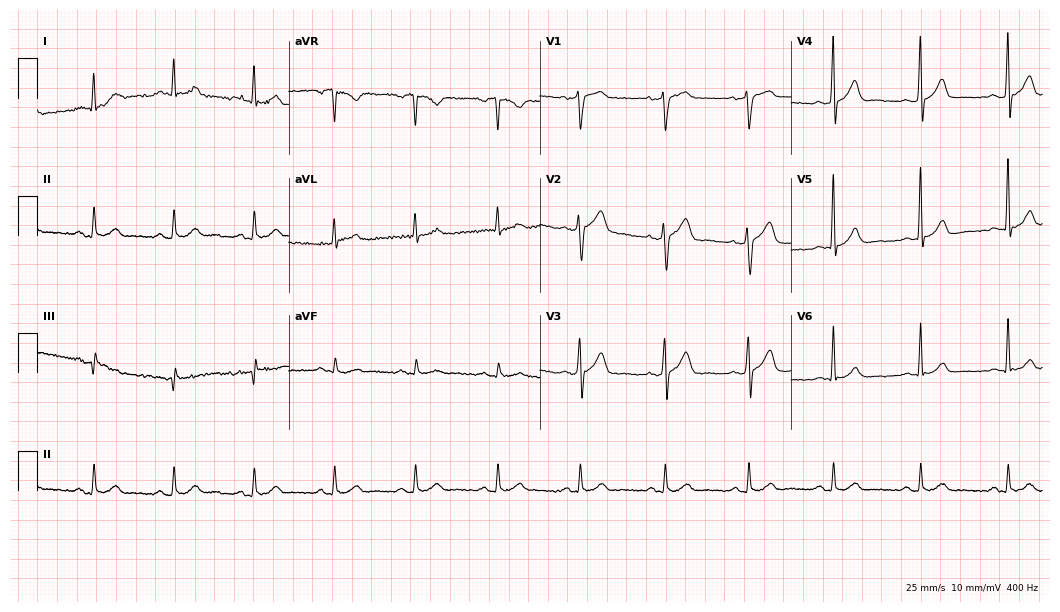
Electrocardiogram, a male patient, 59 years old. Of the six screened findings (first-degree AV block, right bundle branch block (RBBB), left bundle branch block (LBBB), sinus bradycardia, atrial fibrillation (AF), sinus tachycardia), none is recorded.